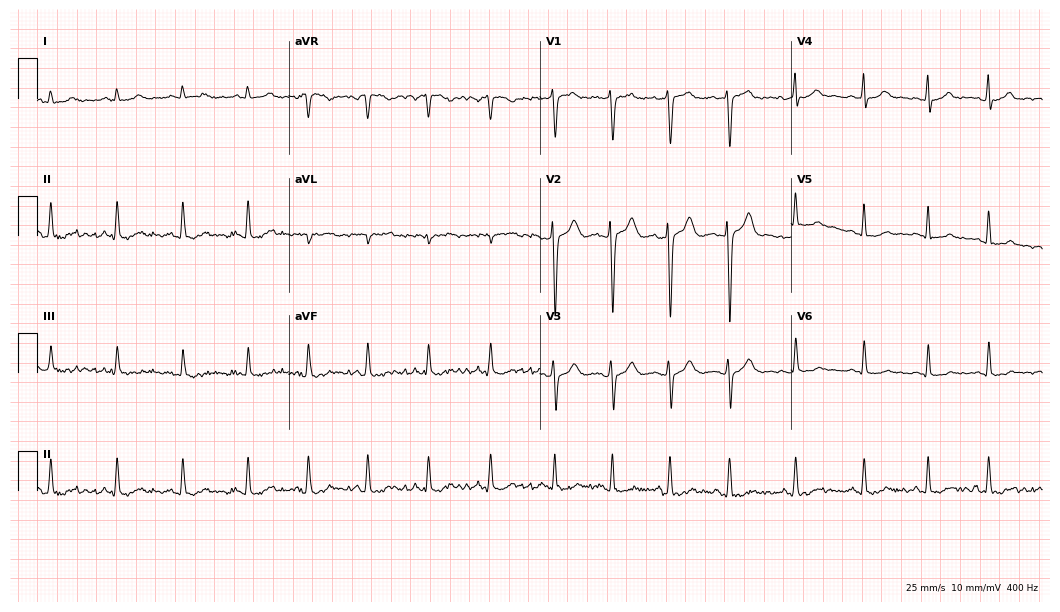
Standard 12-lead ECG recorded from a 22-year-old woman (10.2-second recording at 400 Hz). None of these six findings is recorded: first-degree AV block, right bundle branch block (RBBB), left bundle branch block (LBBB), sinus bradycardia, atrial fibrillation (AF), sinus tachycardia. Other findings, if any, are not listed.